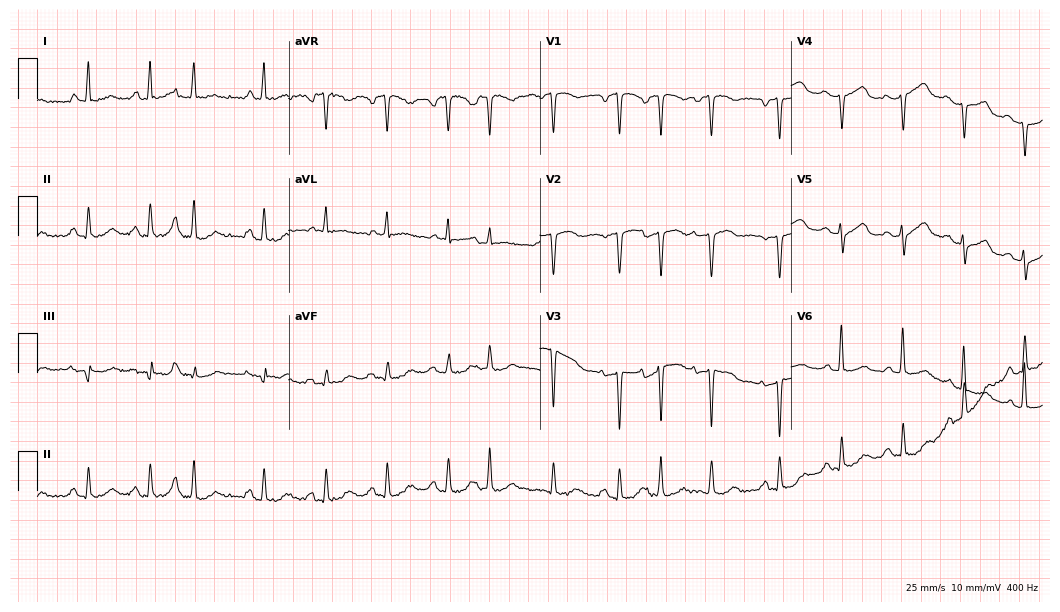
Standard 12-lead ECG recorded from a woman, 81 years old. None of these six findings is recorded: first-degree AV block, right bundle branch block (RBBB), left bundle branch block (LBBB), sinus bradycardia, atrial fibrillation (AF), sinus tachycardia.